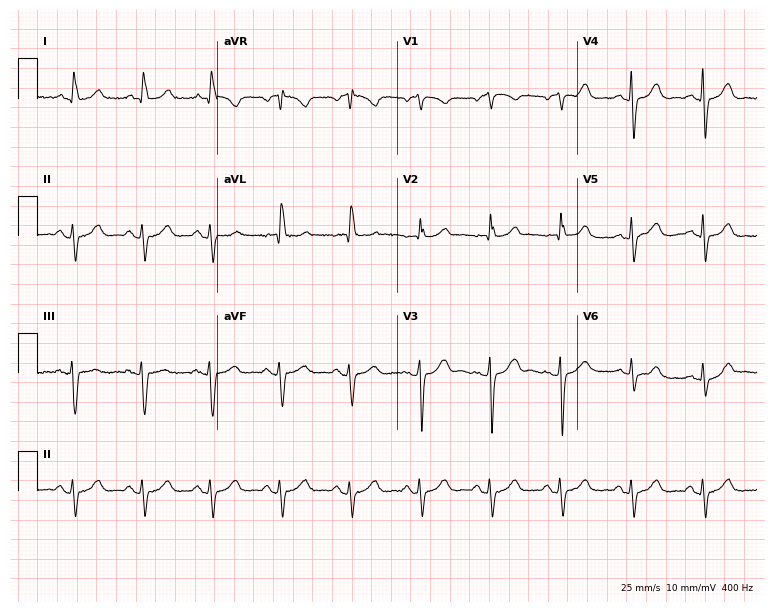
12-lead ECG (7.3-second recording at 400 Hz) from a 75-year-old female. Screened for six findings — first-degree AV block, right bundle branch block, left bundle branch block, sinus bradycardia, atrial fibrillation, sinus tachycardia — none is recorded. Only these six findings were labelled.